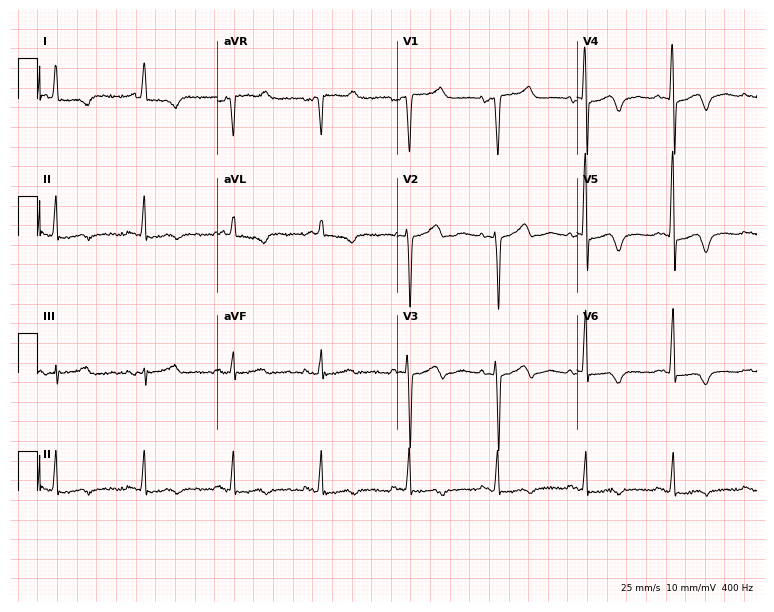
ECG (7.3-second recording at 400 Hz) — a female, 74 years old. Screened for six findings — first-degree AV block, right bundle branch block, left bundle branch block, sinus bradycardia, atrial fibrillation, sinus tachycardia — none is recorded. Findings outside these six are not listed.